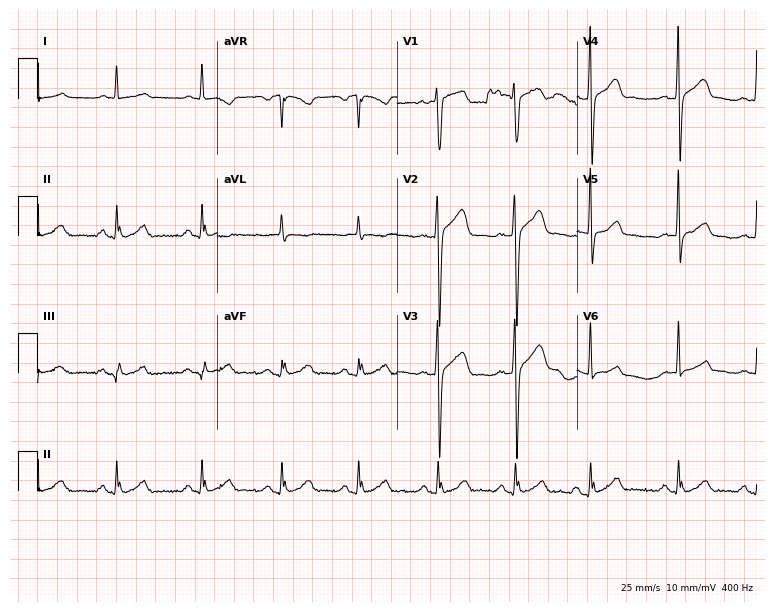
Standard 12-lead ECG recorded from a 57-year-old male (7.3-second recording at 400 Hz). None of these six findings is recorded: first-degree AV block, right bundle branch block, left bundle branch block, sinus bradycardia, atrial fibrillation, sinus tachycardia.